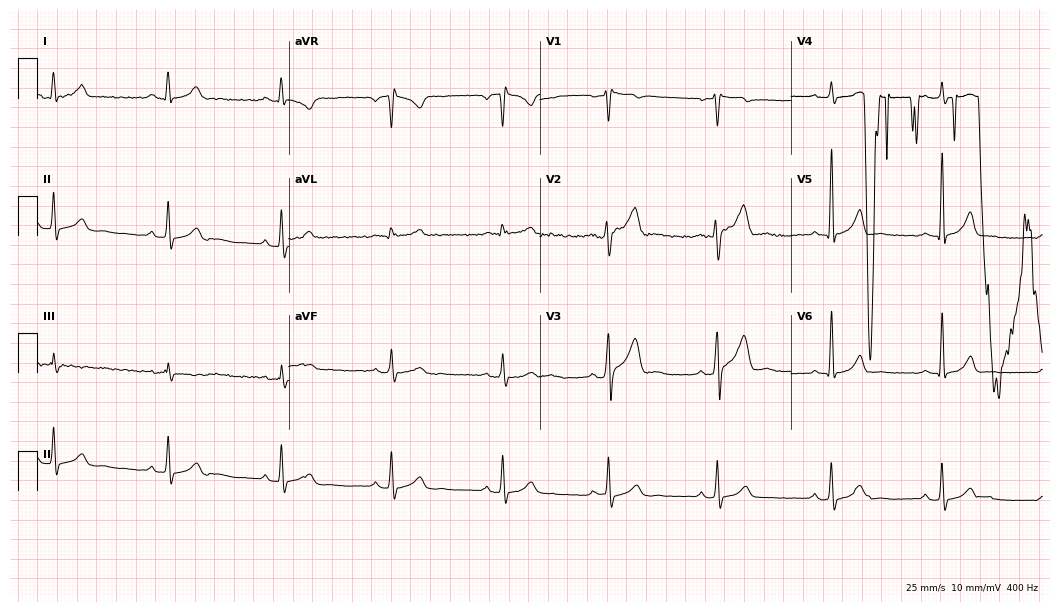
12-lead ECG from a woman, 43 years old (10.2-second recording at 400 Hz). No first-degree AV block, right bundle branch block, left bundle branch block, sinus bradycardia, atrial fibrillation or sinus tachycardia recorded for this tracing.